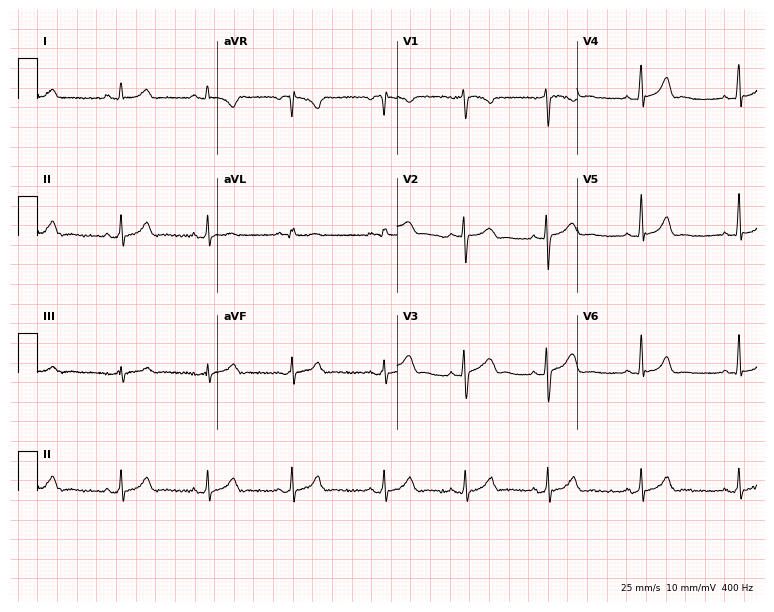
12-lead ECG from a 27-year-old female. No first-degree AV block, right bundle branch block, left bundle branch block, sinus bradycardia, atrial fibrillation or sinus tachycardia recorded for this tracing. Findings outside these six are not listed.